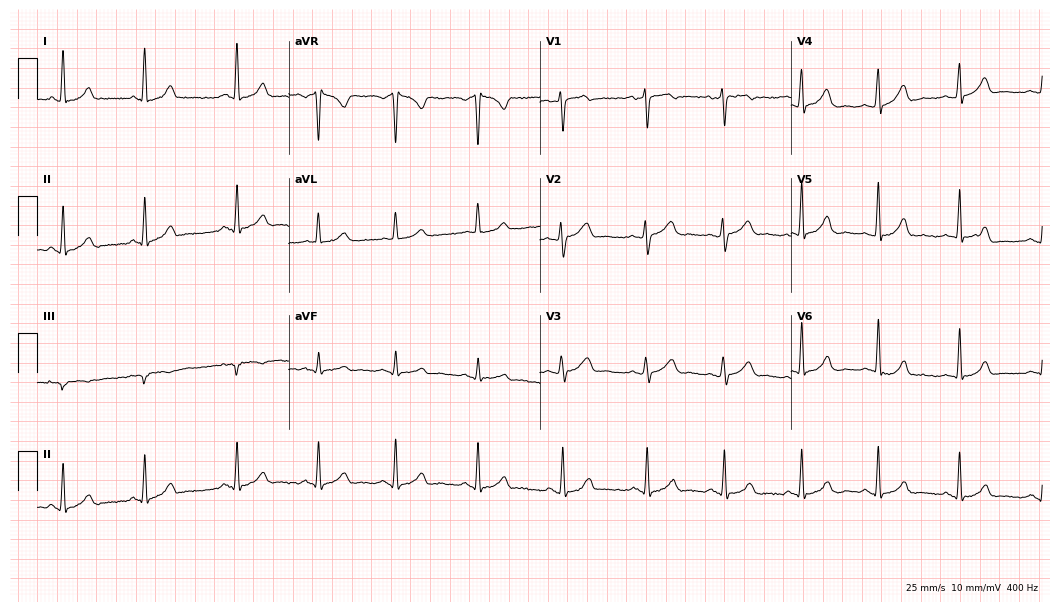
Standard 12-lead ECG recorded from a 36-year-old female (10.2-second recording at 400 Hz). None of these six findings is recorded: first-degree AV block, right bundle branch block, left bundle branch block, sinus bradycardia, atrial fibrillation, sinus tachycardia.